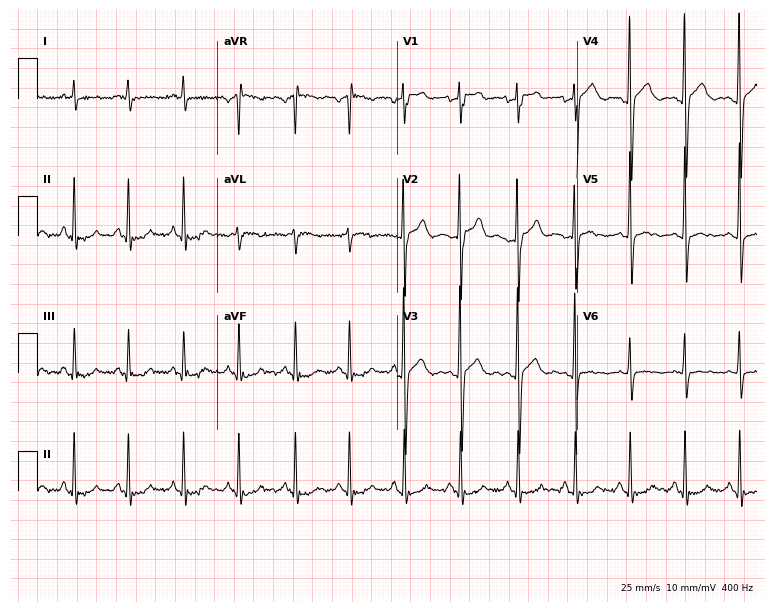
12-lead ECG from a 33-year-old male patient. Shows sinus tachycardia (a sinus rate of 100 beats per minute or more).